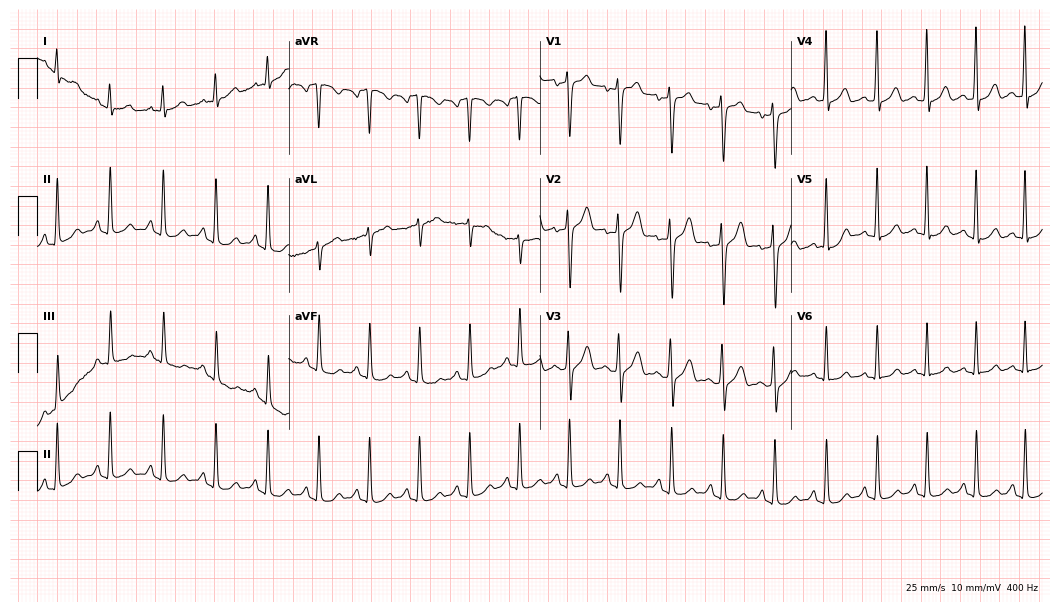
Resting 12-lead electrocardiogram (10.2-second recording at 400 Hz). Patient: a 26-year-old man. The tracing shows sinus tachycardia (a sinus rate of 100 beats per minute or more).